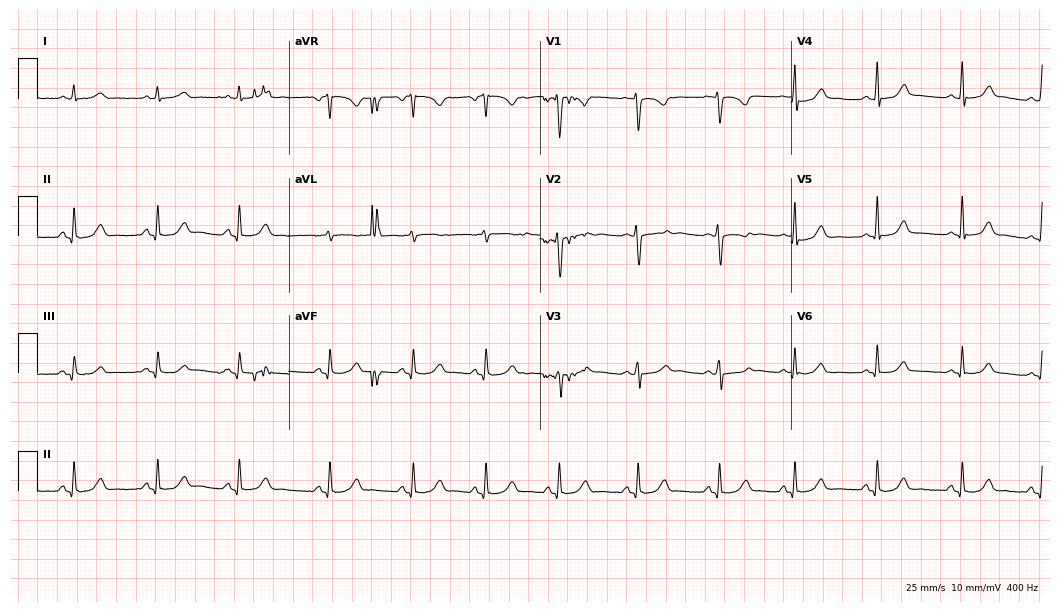
Resting 12-lead electrocardiogram. Patient: a female, 35 years old. None of these six findings is recorded: first-degree AV block, right bundle branch block, left bundle branch block, sinus bradycardia, atrial fibrillation, sinus tachycardia. Findings outside these six are not listed.